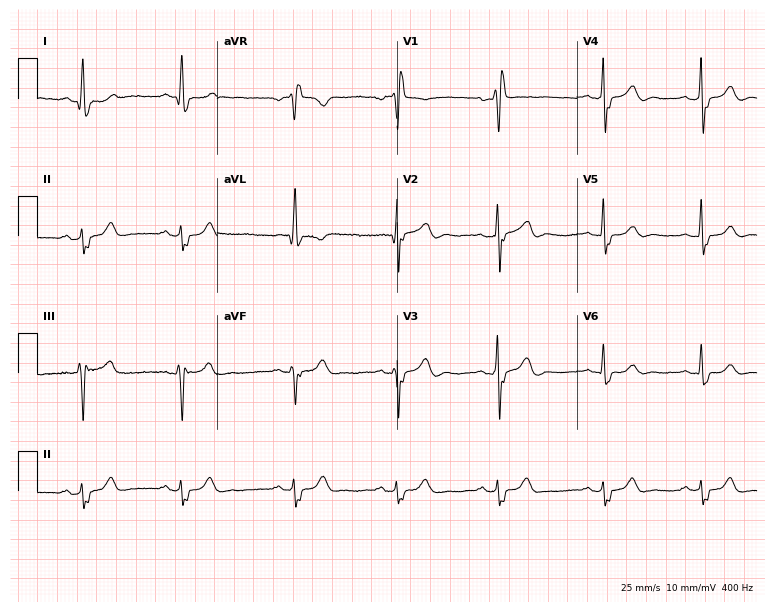
Standard 12-lead ECG recorded from a man, 51 years old. The tracing shows right bundle branch block.